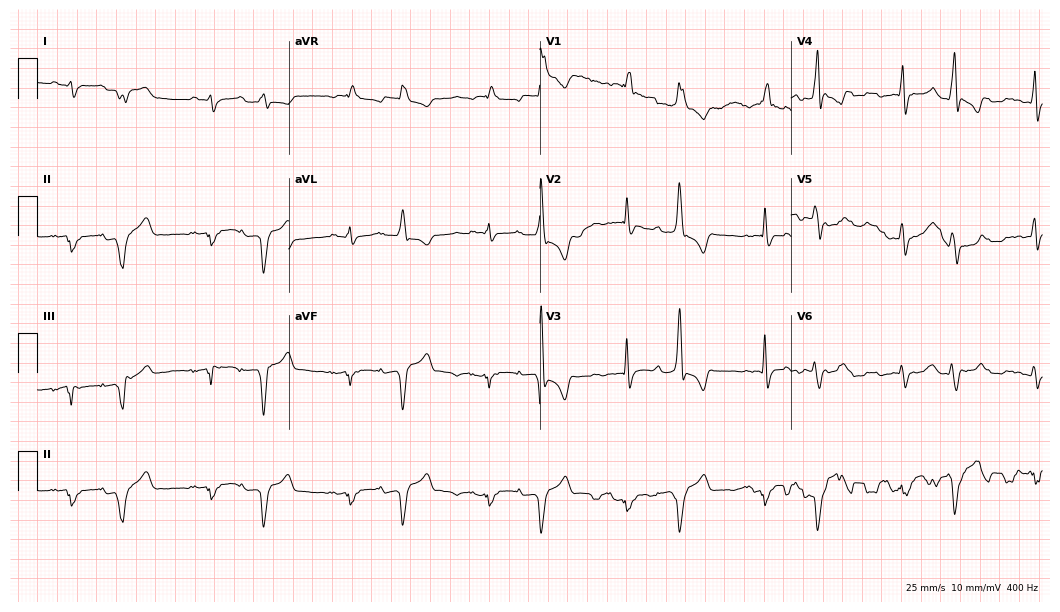
12-lead ECG from a 48-year-old man (10.2-second recording at 400 Hz). No first-degree AV block, right bundle branch block, left bundle branch block, sinus bradycardia, atrial fibrillation or sinus tachycardia recorded for this tracing.